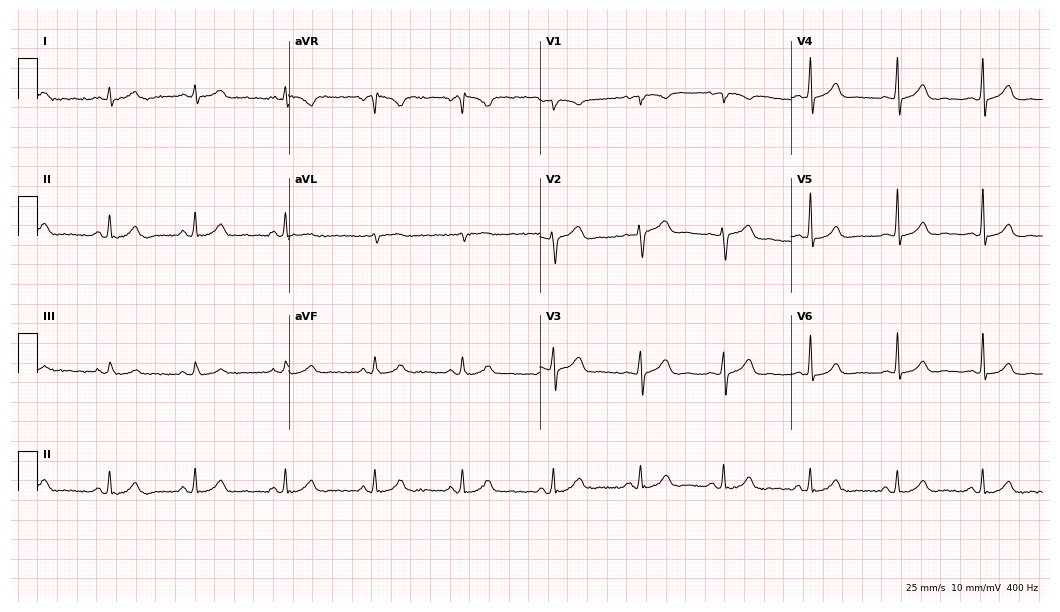
Standard 12-lead ECG recorded from a 28-year-old female (10.2-second recording at 400 Hz). Read as a normal ECG.